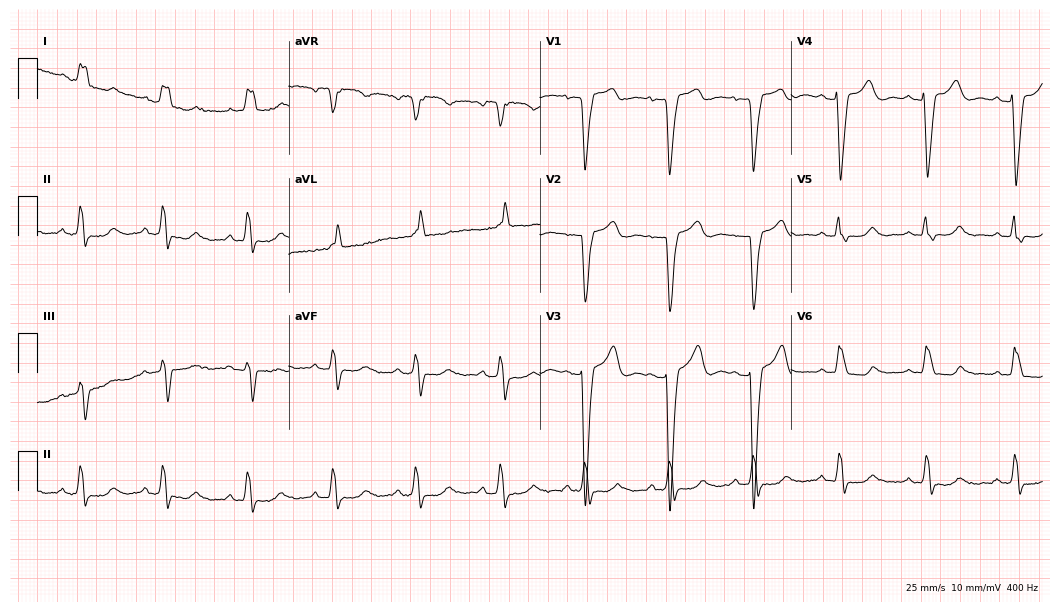
ECG — a 55-year-old female. Findings include left bundle branch block.